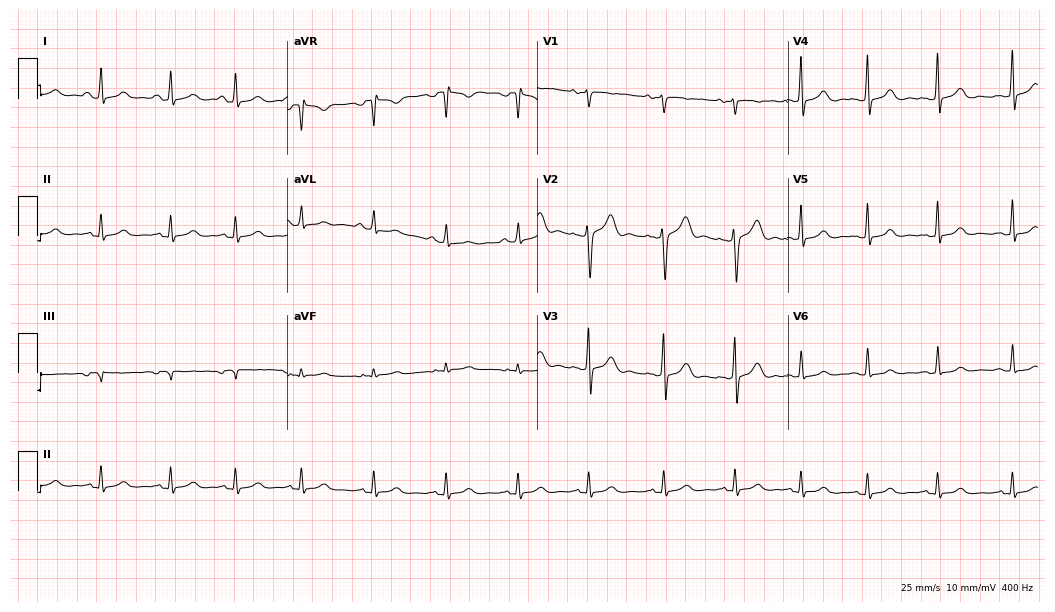
Standard 12-lead ECG recorded from a 17-year-old female patient (10.2-second recording at 400 Hz). Read as a normal ECG.